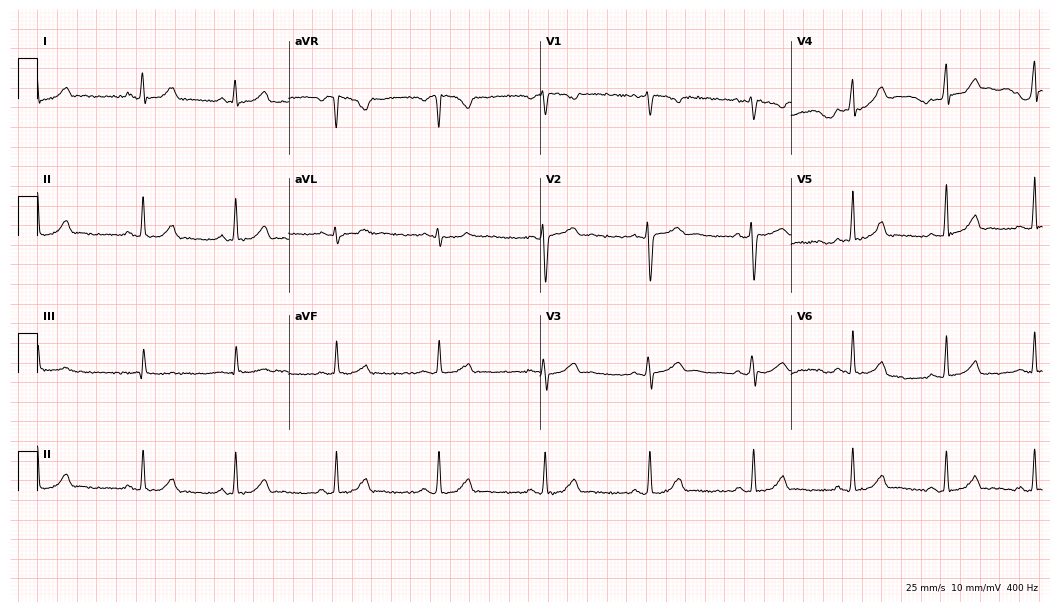
Resting 12-lead electrocardiogram. Patient: a woman, 18 years old. Read as a normal ECG.